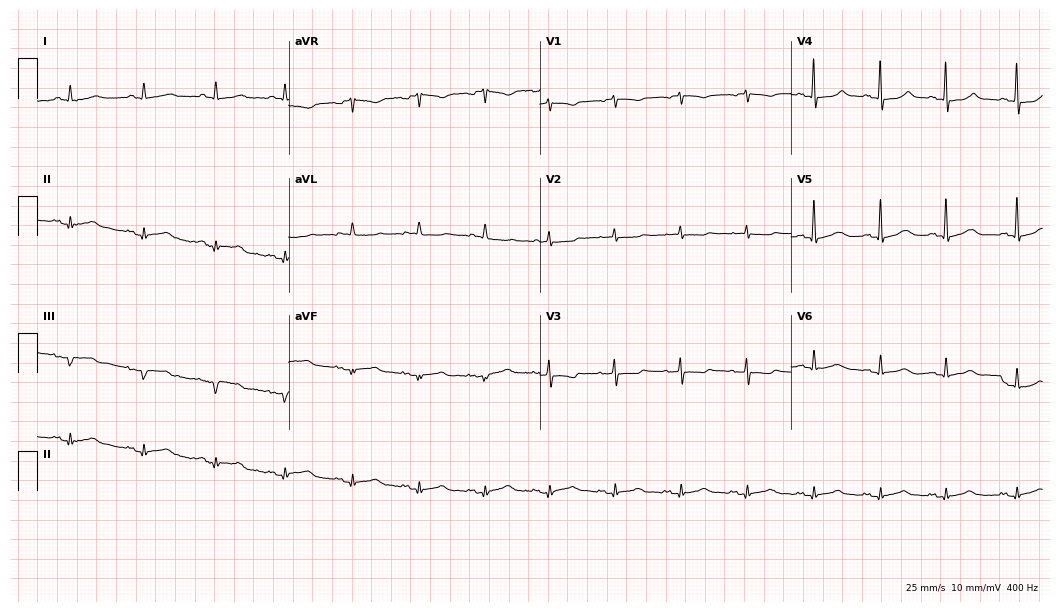
ECG (10.2-second recording at 400 Hz) — a 79-year-old female patient. Screened for six findings — first-degree AV block, right bundle branch block, left bundle branch block, sinus bradycardia, atrial fibrillation, sinus tachycardia — none is recorded.